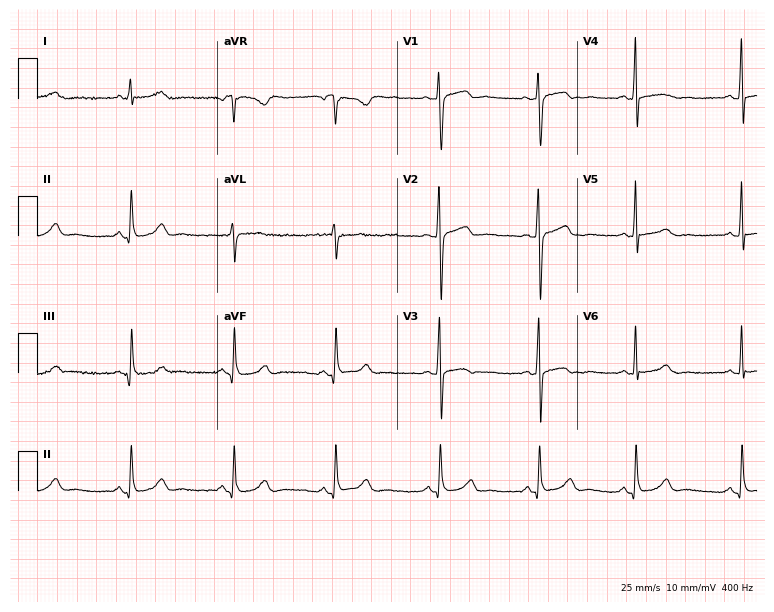
12-lead ECG (7.3-second recording at 400 Hz) from a 41-year-old female patient. Labelled as a normal ECG.